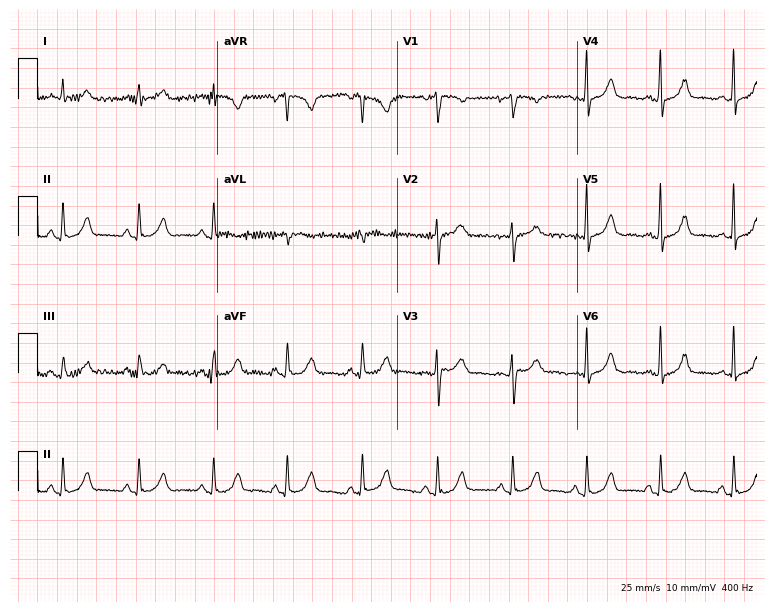
ECG (7.3-second recording at 400 Hz) — a 60-year-old woman. Screened for six findings — first-degree AV block, right bundle branch block (RBBB), left bundle branch block (LBBB), sinus bradycardia, atrial fibrillation (AF), sinus tachycardia — none is recorded. Other findings, if any, are not listed.